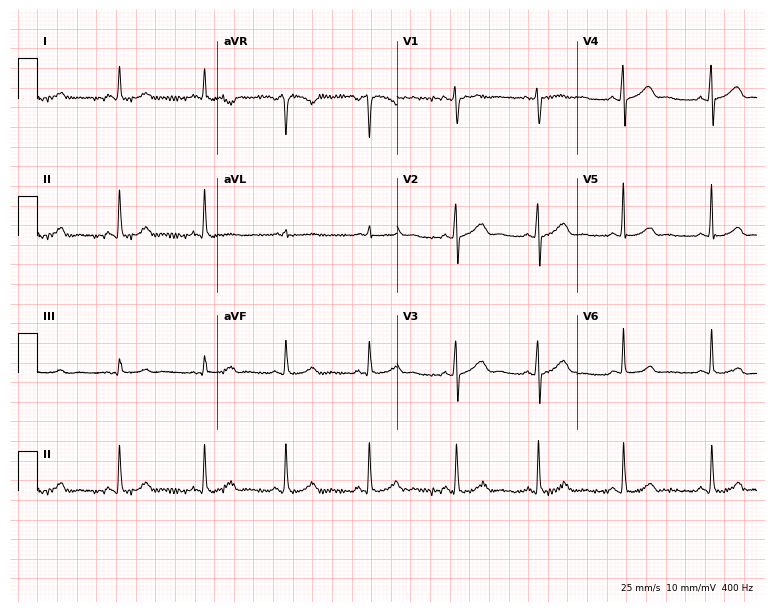
Electrocardiogram (7.3-second recording at 400 Hz), a female patient, 27 years old. Of the six screened findings (first-degree AV block, right bundle branch block, left bundle branch block, sinus bradycardia, atrial fibrillation, sinus tachycardia), none is recorded. Findings outside these six are not listed.